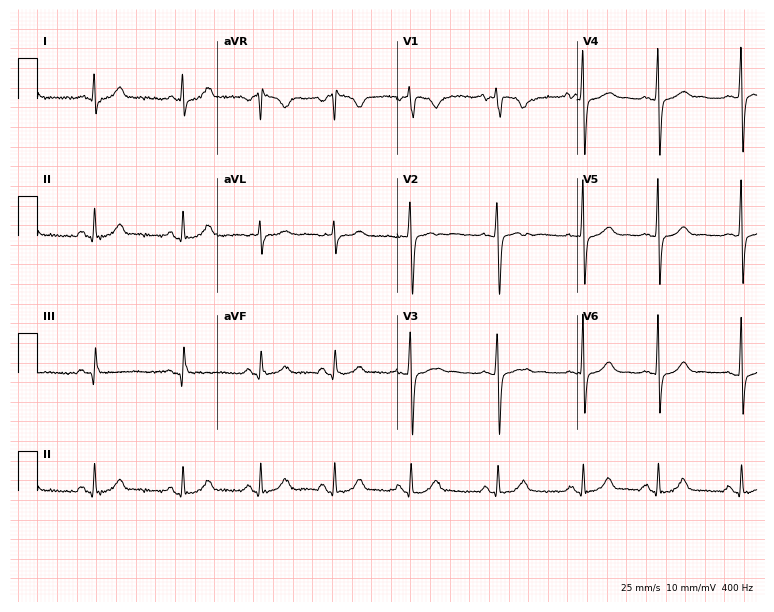
Standard 12-lead ECG recorded from a 21-year-old female. None of these six findings is recorded: first-degree AV block, right bundle branch block, left bundle branch block, sinus bradycardia, atrial fibrillation, sinus tachycardia. Findings outside these six are not listed.